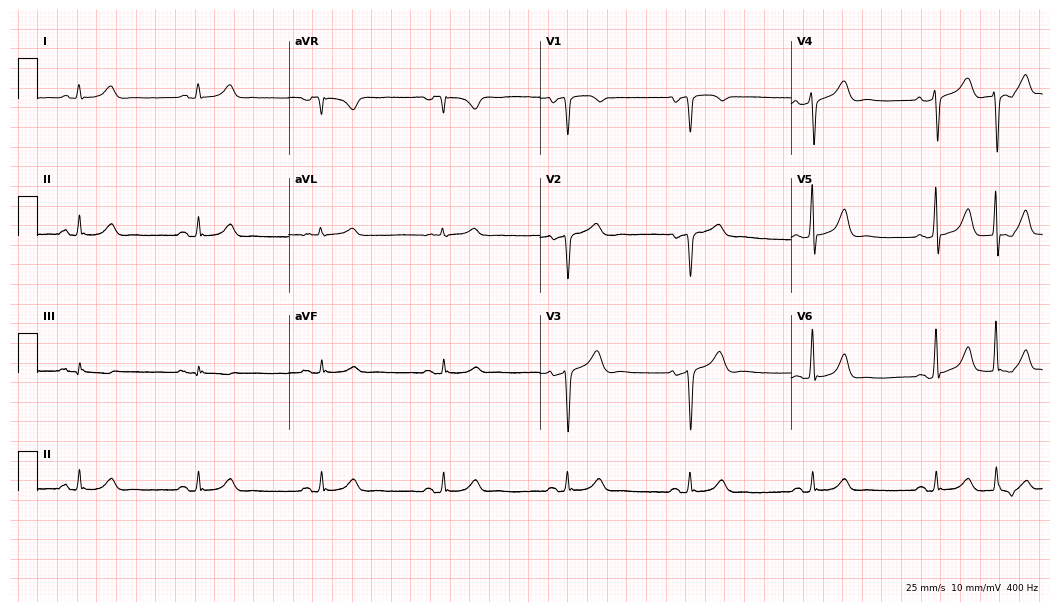
Electrocardiogram (10.2-second recording at 400 Hz), a male, 63 years old. Overall reading on record: normal ECG.